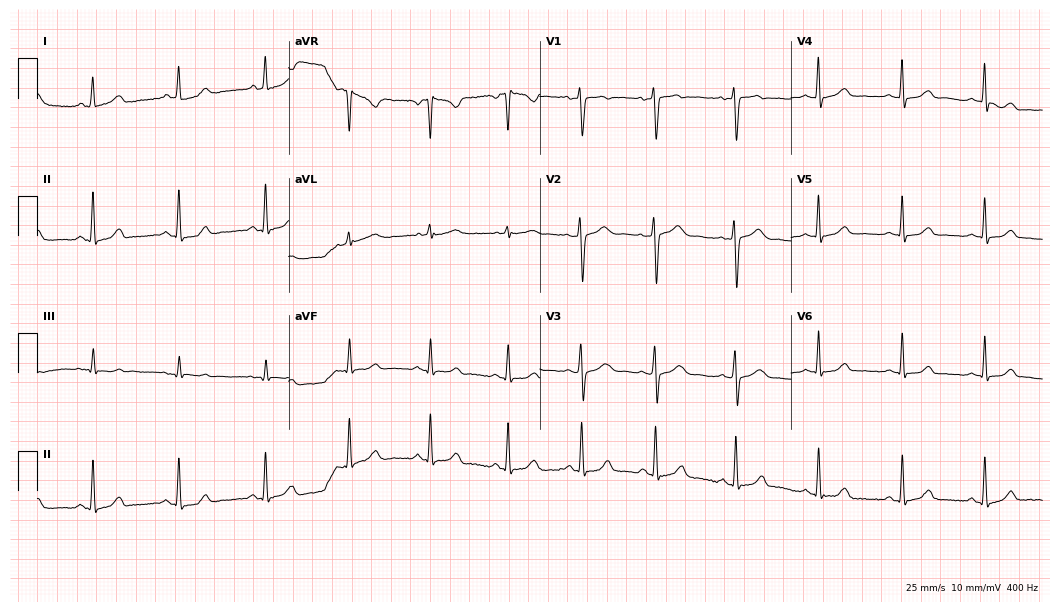
12-lead ECG from a female, 32 years old. Screened for six findings — first-degree AV block, right bundle branch block, left bundle branch block, sinus bradycardia, atrial fibrillation, sinus tachycardia — none is recorded. Other findings, if any, are not listed.